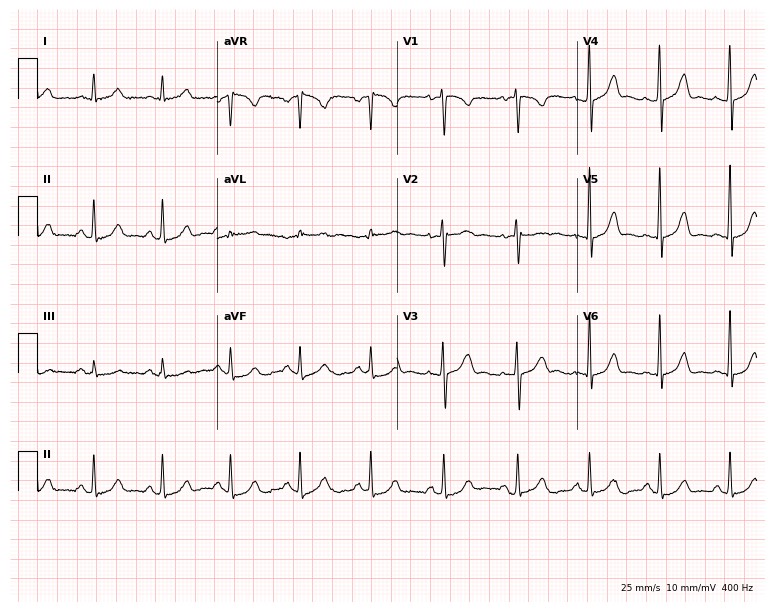
Electrocardiogram, a 31-year-old female. Of the six screened findings (first-degree AV block, right bundle branch block, left bundle branch block, sinus bradycardia, atrial fibrillation, sinus tachycardia), none is recorded.